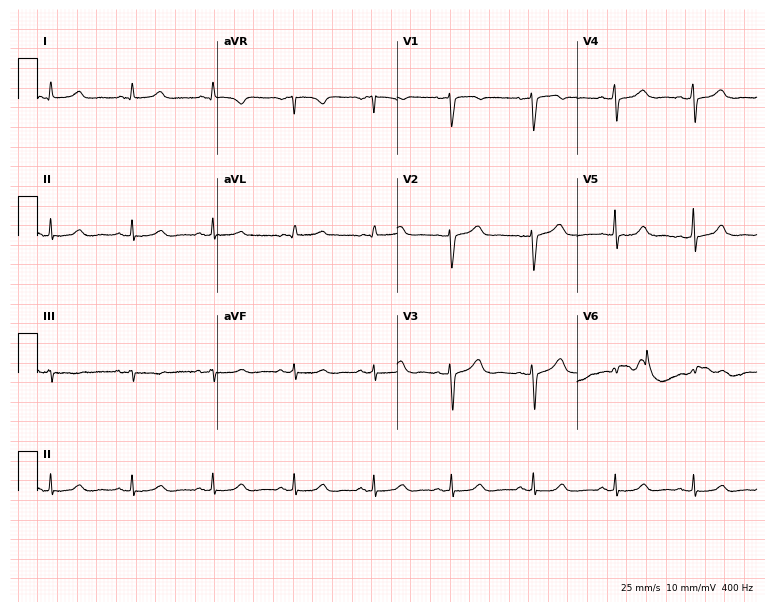
Electrocardiogram, a 52-year-old woman. Of the six screened findings (first-degree AV block, right bundle branch block, left bundle branch block, sinus bradycardia, atrial fibrillation, sinus tachycardia), none is recorded.